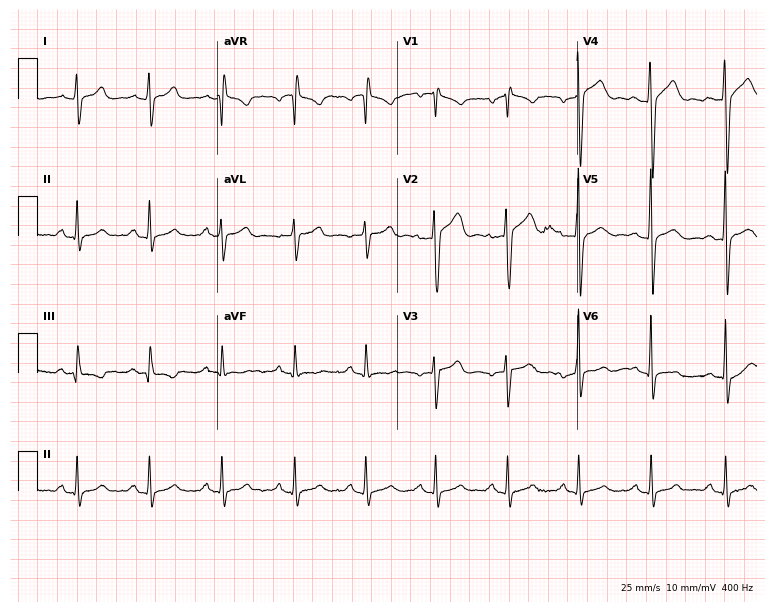
ECG (7.3-second recording at 400 Hz) — a man, 31 years old. Screened for six findings — first-degree AV block, right bundle branch block (RBBB), left bundle branch block (LBBB), sinus bradycardia, atrial fibrillation (AF), sinus tachycardia — none is recorded. Other findings, if any, are not listed.